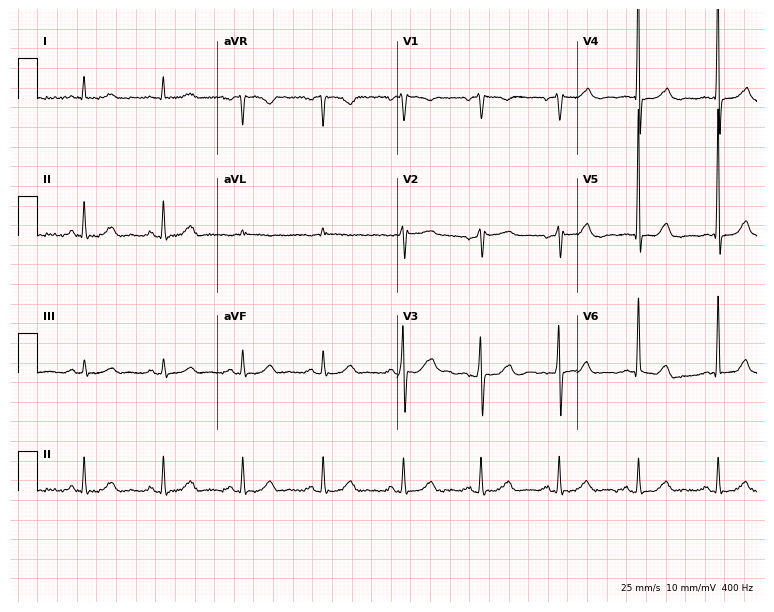
ECG — a 70-year-old man. Labelled as a normal ECG.